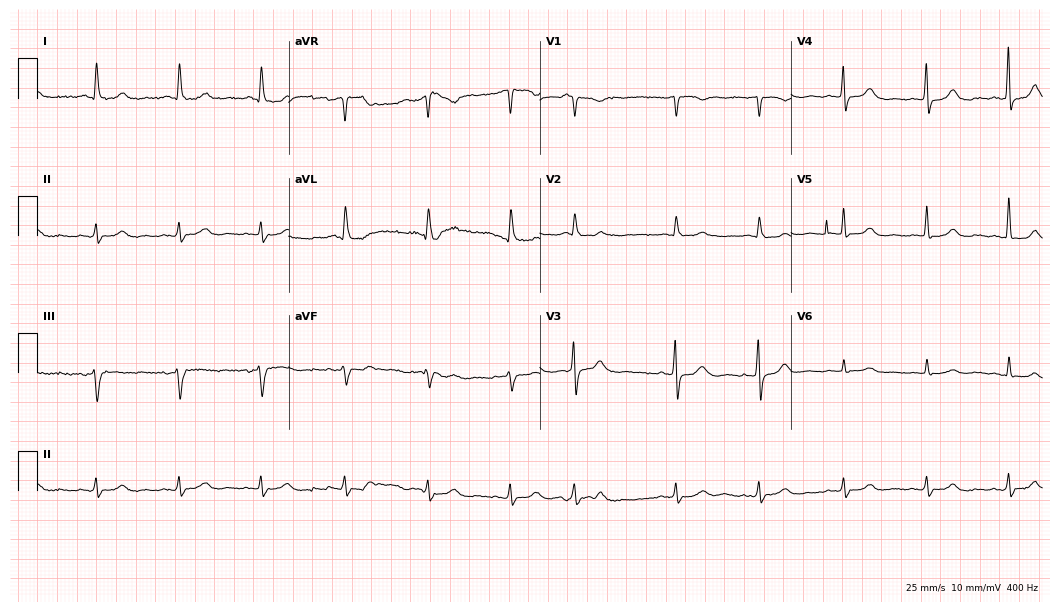
12-lead ECG from a female, 83 years old. Screened for six findings — first-degree AV block, right bundle branch block (RBBB), left bundle branch block (LBBB), sinus bradycardia, atrial fibrillation (AF), sinus tachycardia — none is recorded. Only these six findings were labelled.